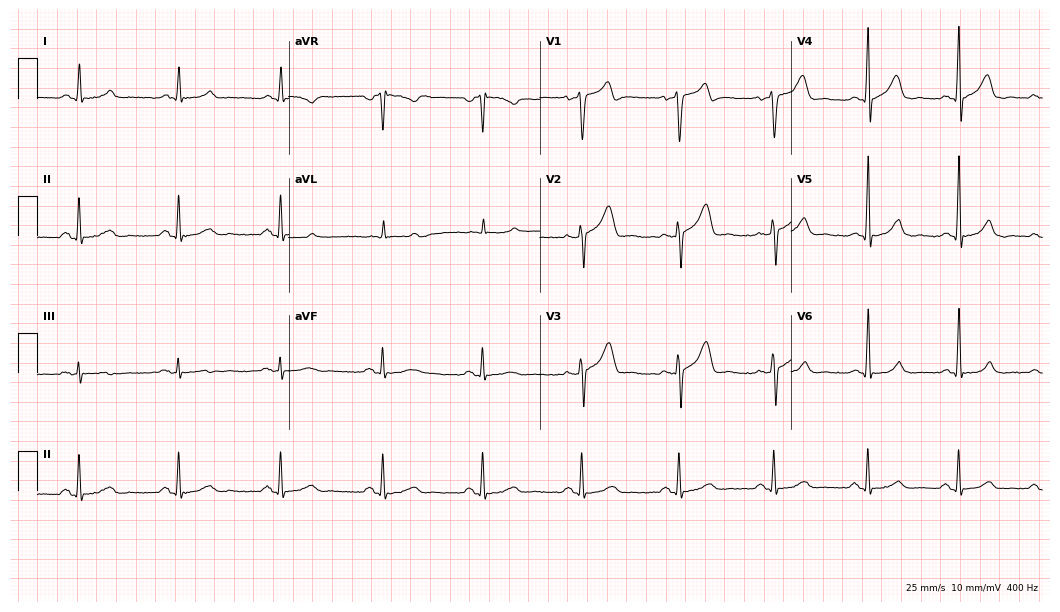
12-lead ECG from a female, 46 years old. Labelled as a normal ECG.